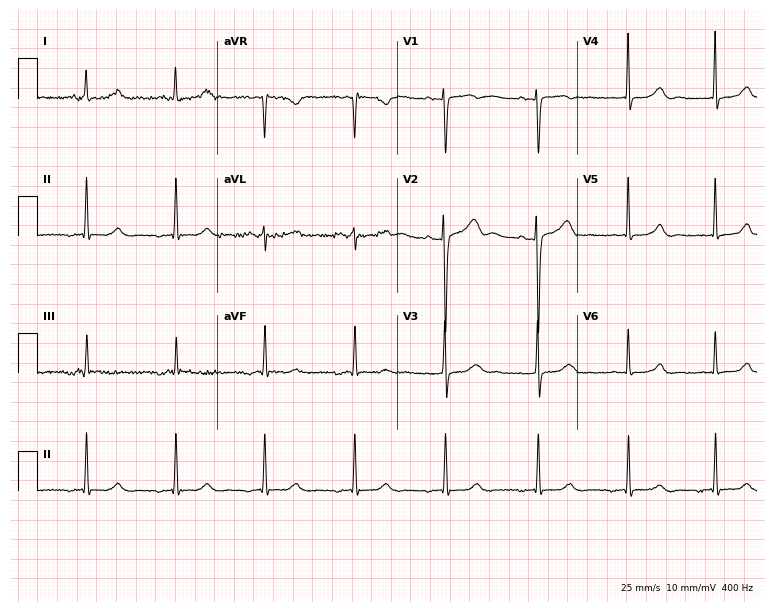
Standard 12-lead ECG recorded from a woman, 21 years old (7.3-second recording at 400 Hz). None of these six findings is recorded: first-degree AV block, right bundle branch block, left bundle branch block, sinus bradycardia, atrial fibrillation, sinus tachycardia.